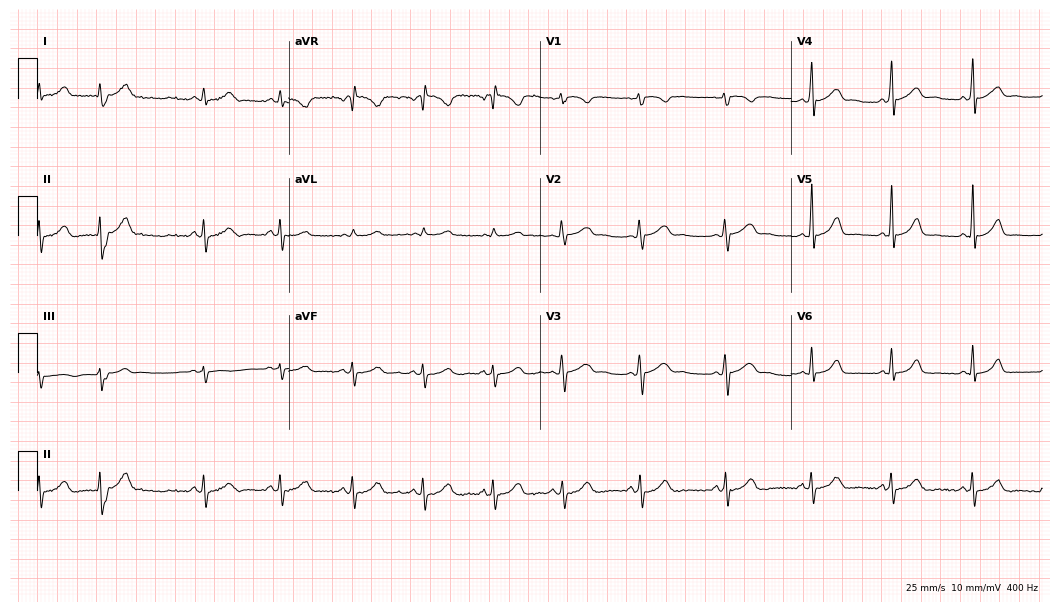
12-lead ECG from a woman, 31 years old. Screened for six findings — first-degree AV block, right bundle branch block, left bundle branch block, sinus bradycardia, atrial fibrillation, sinus tachycardia — none is recorded. Other findings, if any, are not listed.